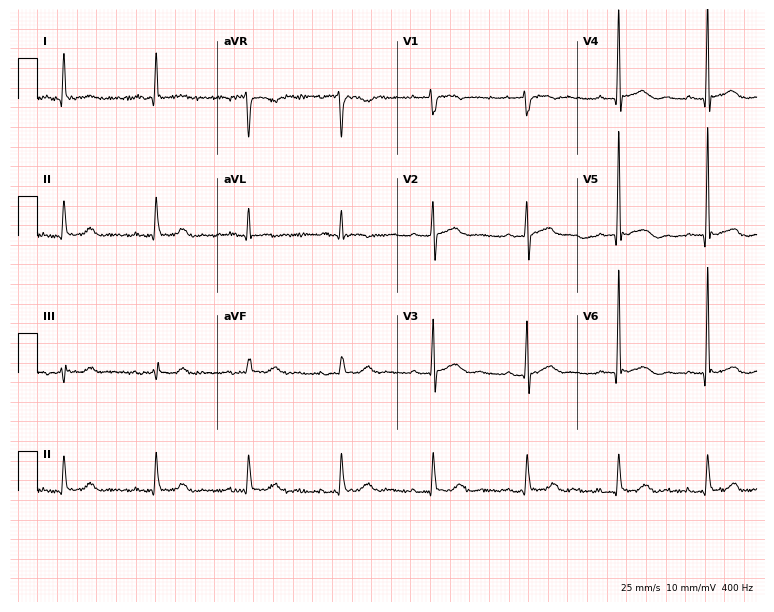
12-lead ECG from a female, 82 years old. Screened for six findings — first-degree AV block, right bundle branch block, left bundle branch block, sinus bradycardia, atrial fibrillation, sinus tachycardia — none is recorded.